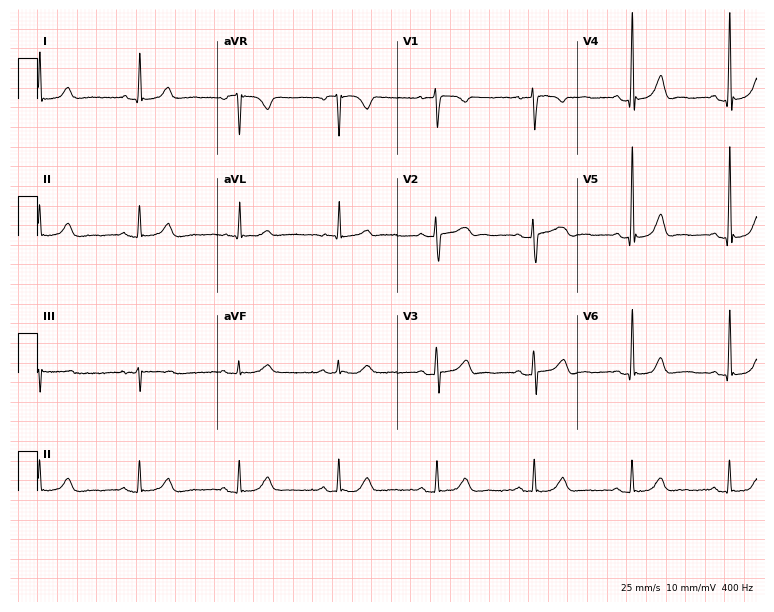
ECG — a 33-year-old female. Labelled as a normal ECG.